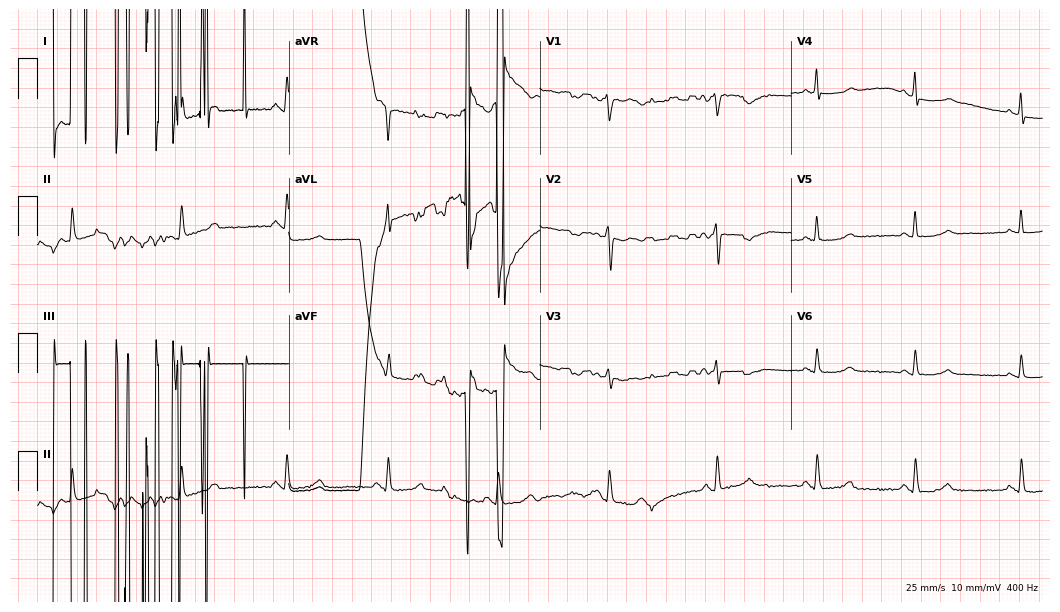
Resting 12-lead electrocardiogram (10.2-second recording at 400 Hz). Patient: a 62-year-old woman. None of these six findings is recorded: first-degree AV block, right bundle branch block (RBBB), left bundle branch block (LBBB), sinus bradycardia, atrial fibrillation (AF), sinus tachycardia. Findings outside these six are not listed.